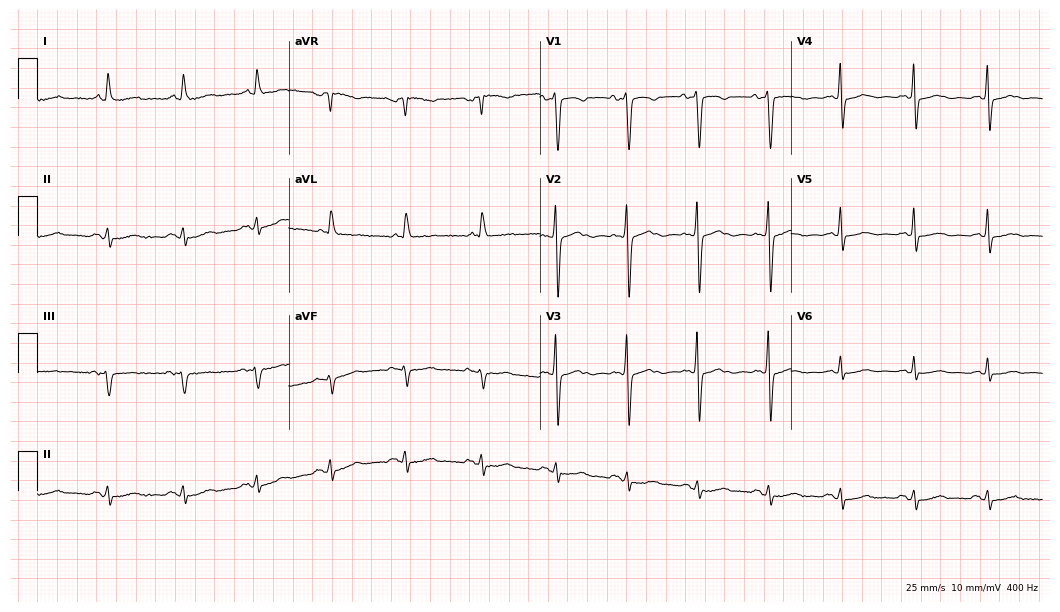
12-lead ECG (10.2-second recording at 400 Hz) from a 72-year-old woman. Labelled as a normal ECG.